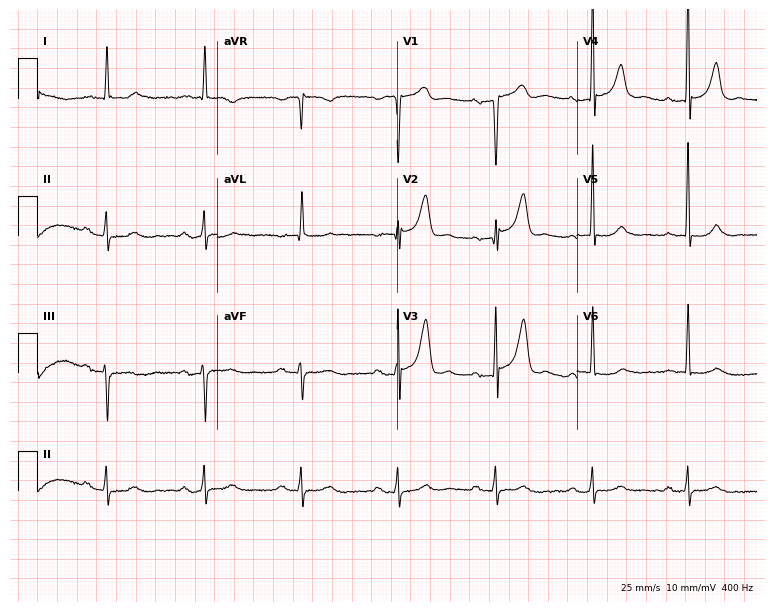
12-lead ECG (7.3-second recording at 400 Hz) from a male patient, 73 years old. Screened for six findings — first-degree AV block, right bundle branch block, left bundle branch block, sinus bradycardia, atrial fibrillation, sinus tachycardia — none is recorded.